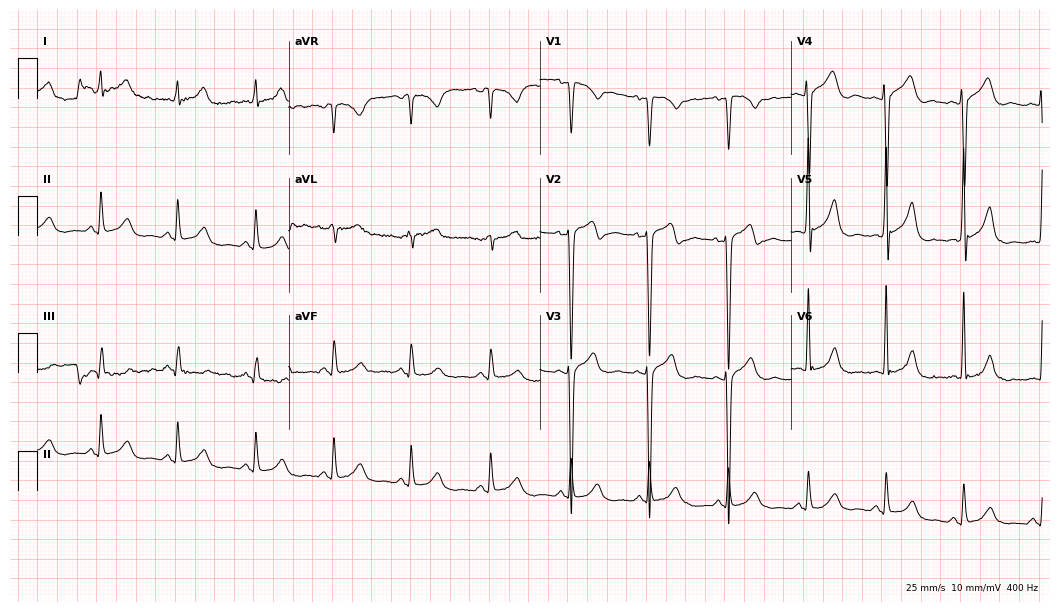
Resting 12-lead electrocardiogram. Patient: a male, 54 years old. None of these six findings is recorded: first-degree AV block, right bundle branch block, left bundle branch block, sinus bradycardia, atrial fibrillation, sinus tachycardia.